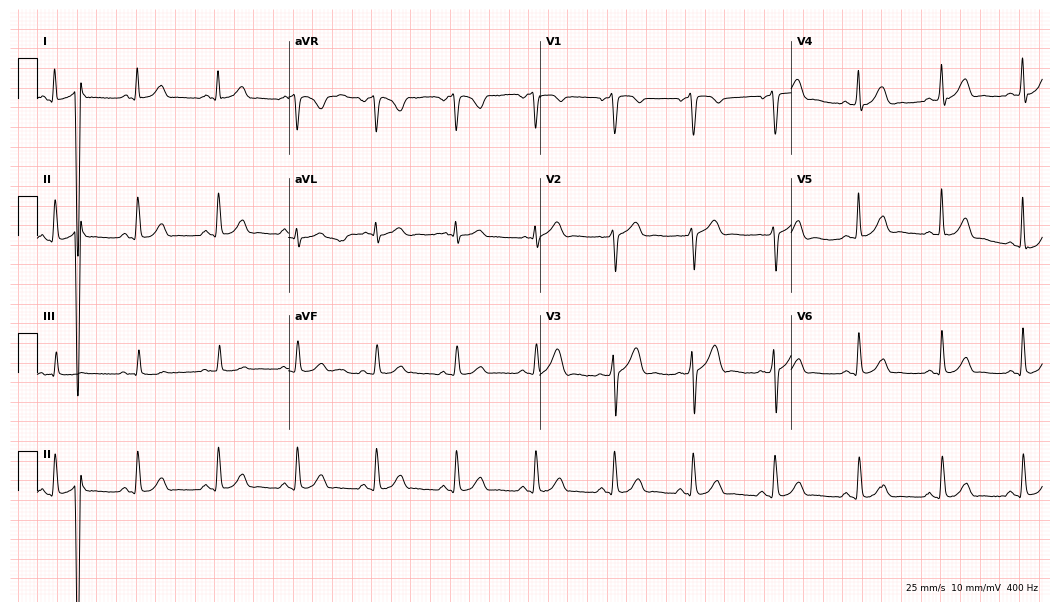
Standard 12-lead ECG recorded from a 43-year-old male (10.2-second recording at 400 Hz). Read as a normal ECG.